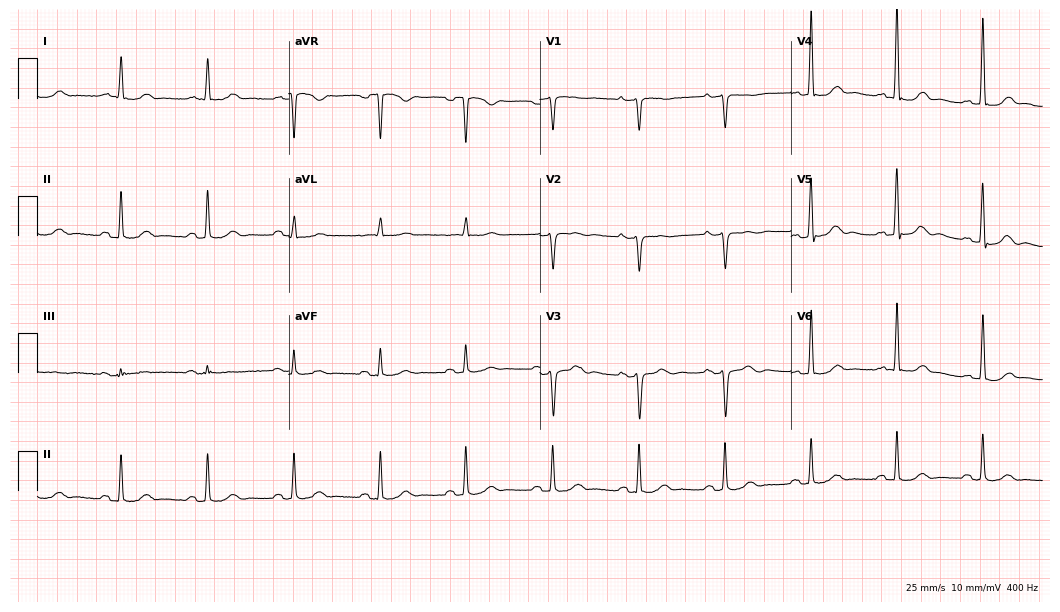
Electrocardiogram, an 84-year-old man. Of the six screened findings (first-degree AV block, right bundle branch block, left bundle branch block, sinus bradycardia, atrial fibrillation, sinus tachycardia), none is recorded. Other findings, if any, are not listed.